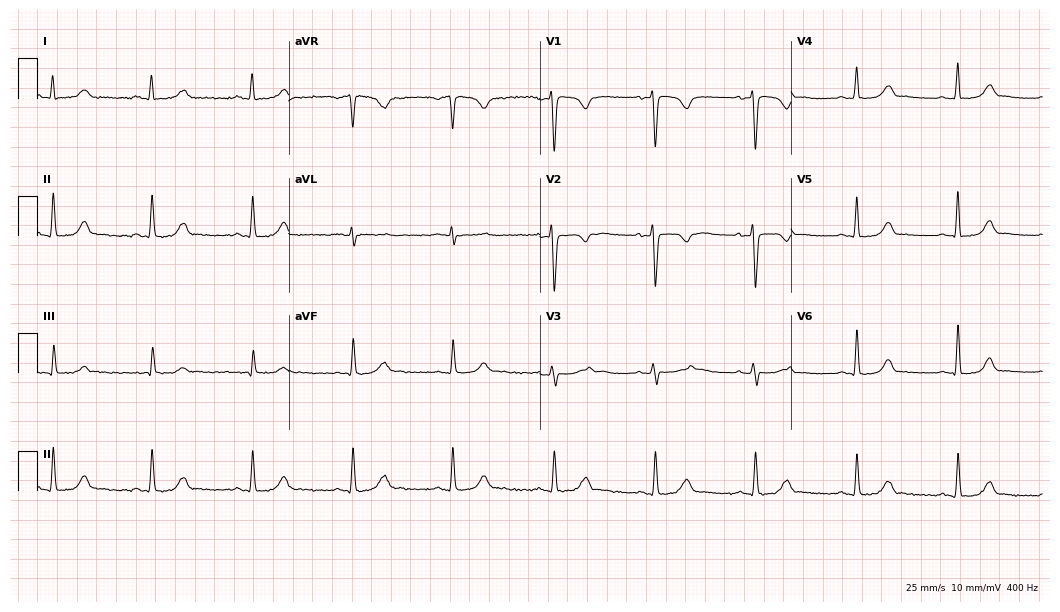
Resting 12-lead electrocardiogram (10.2-second recording at 400 Hz). Patient: a woman, 42 years old. Read as a normal ECG.